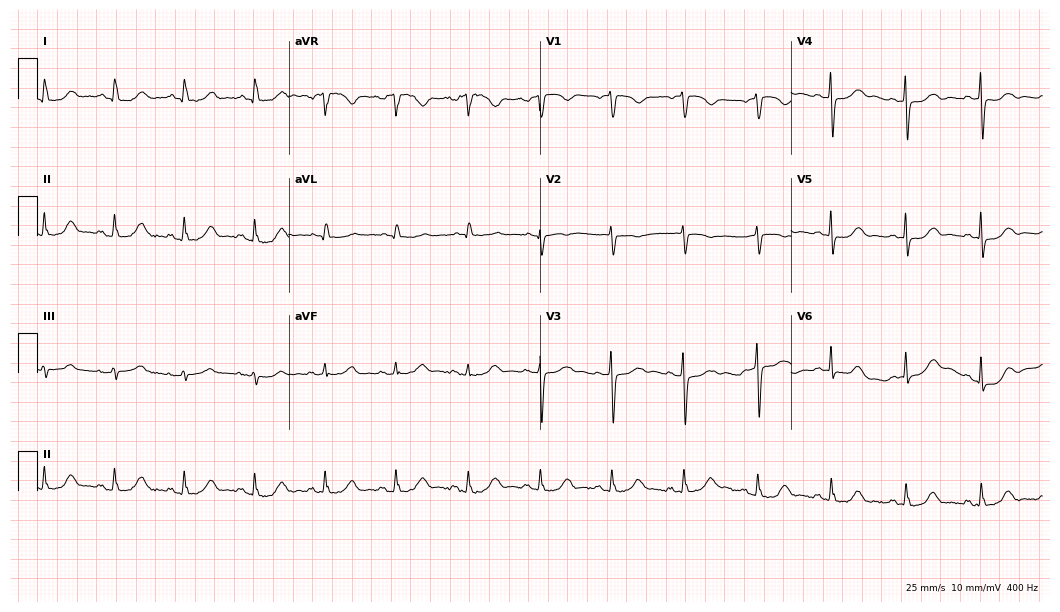
ECG — a 75-year-old female. Screened for six findings — first-degree AV block, right bundle branch block (RBBB), left bundle branch block (LBBB), sinus bradycardia, atrial fibrillation (AF), sinus tachycardia — none is recorded. Findings outside these six are not listed.